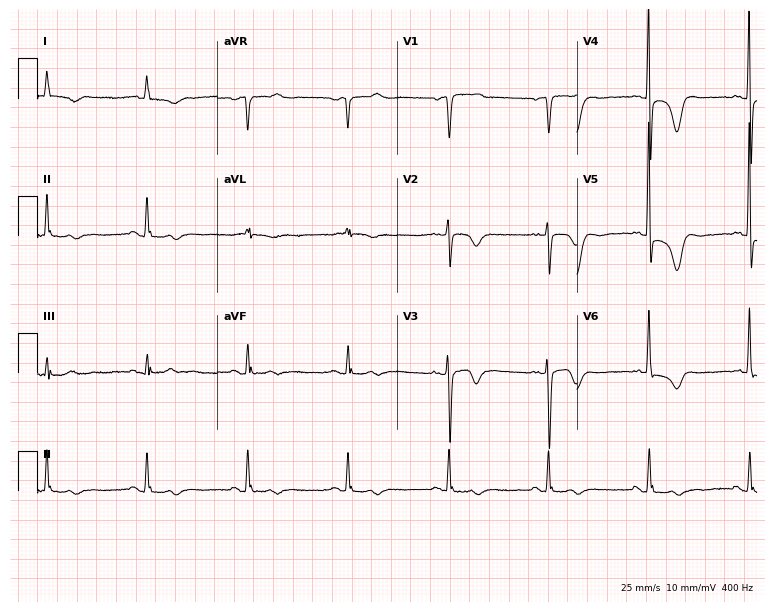
ECG — a woman, 84 years old. Screened for six findings — first-degree AV block, right bundle branch block (RBBB), left bundle branch block (LBBB), sinus bradycardia, atrial fibrillation (AF), sinus tachycardia — none is recorded.